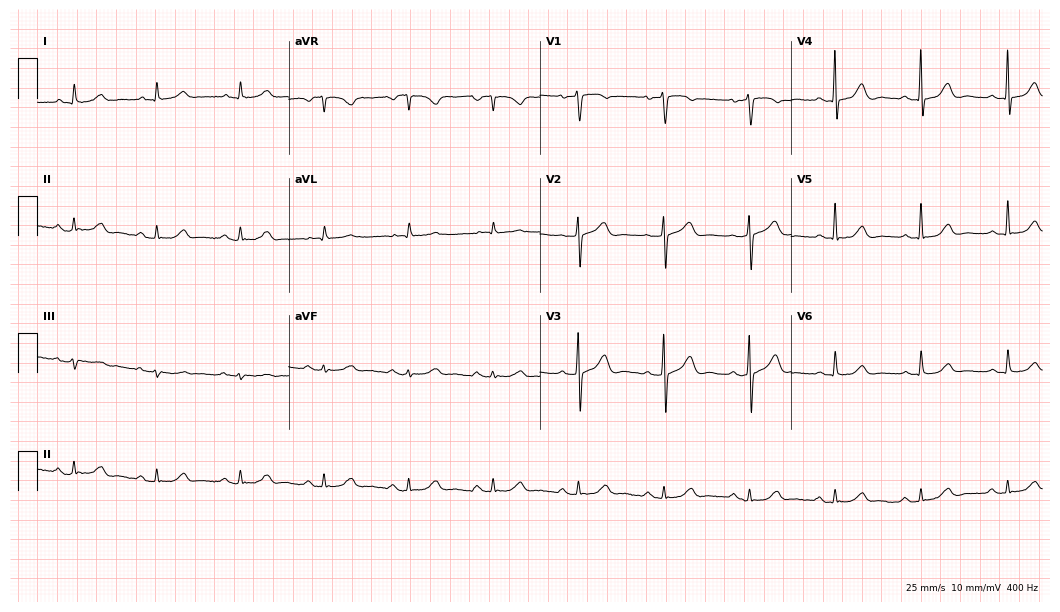
Electrocardiogram, a male patient, 79 years old. Overall reading on record: normal ECG.